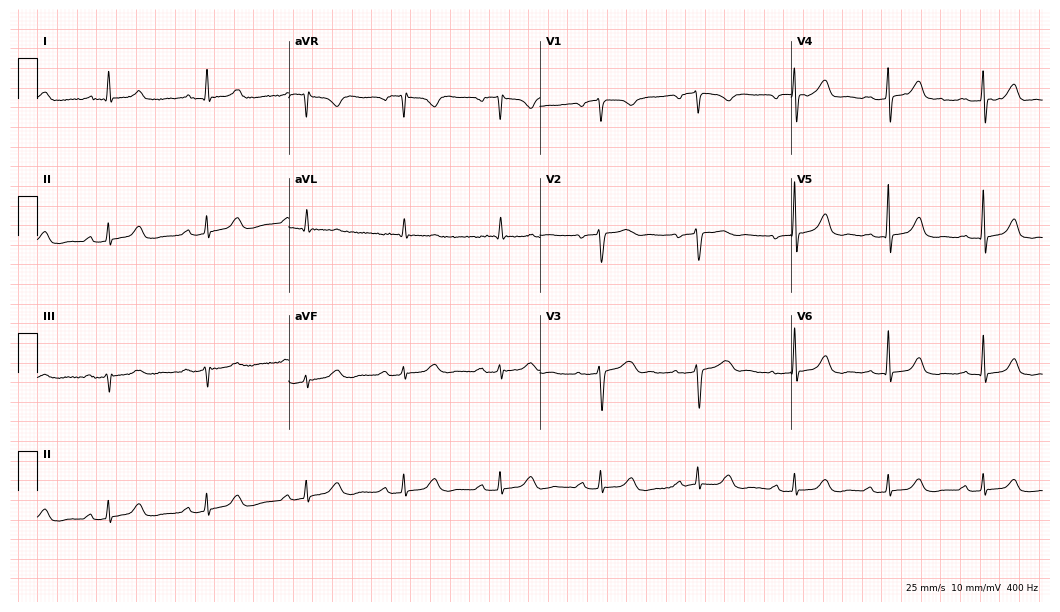
12-lead ECG from a 72-year-old woman (10.2-second recording at 400 Hz). Recorded interpretation: within normal limits.